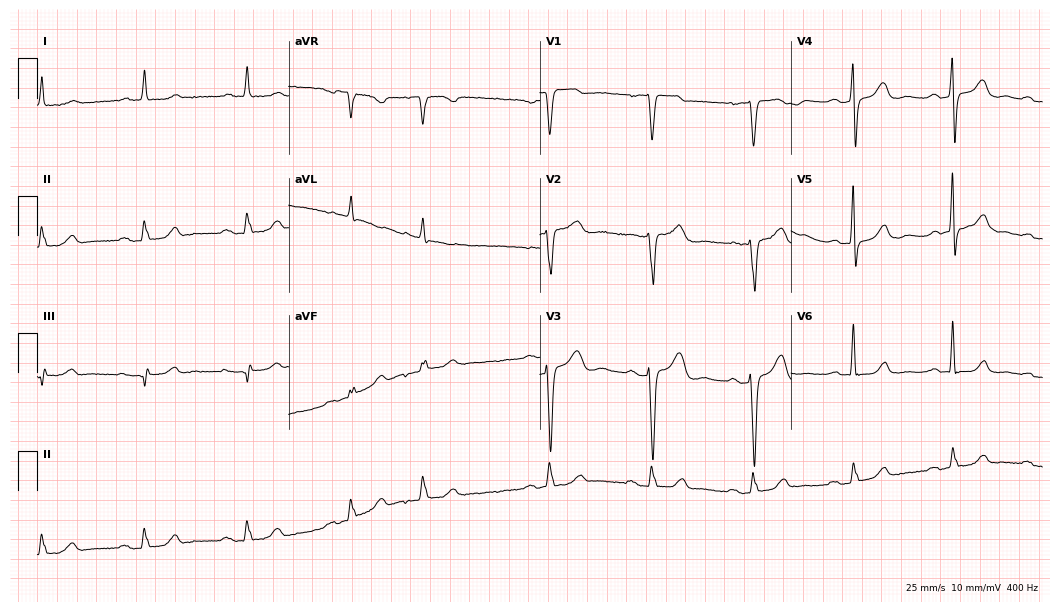
12-lead ECG (10.2-second recording at 400 Hz) from an 85-year-old man. Findings include first-degree AV block.